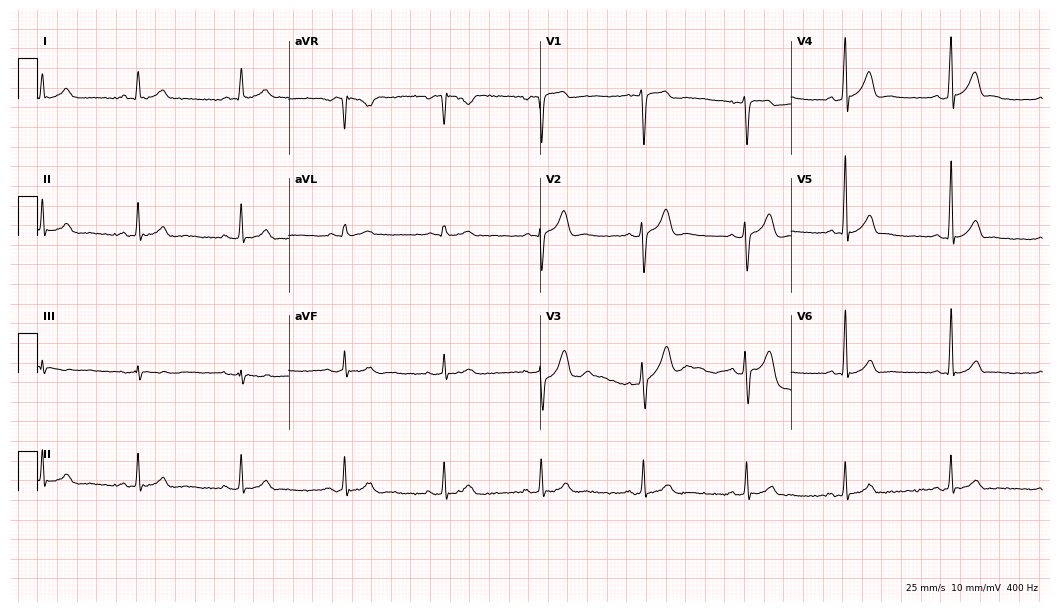
Resting 12-lead electrocardiogram (10.2-second recording at 400 Hz). Patient: a 25-year-old male. Read as a normal ECG.